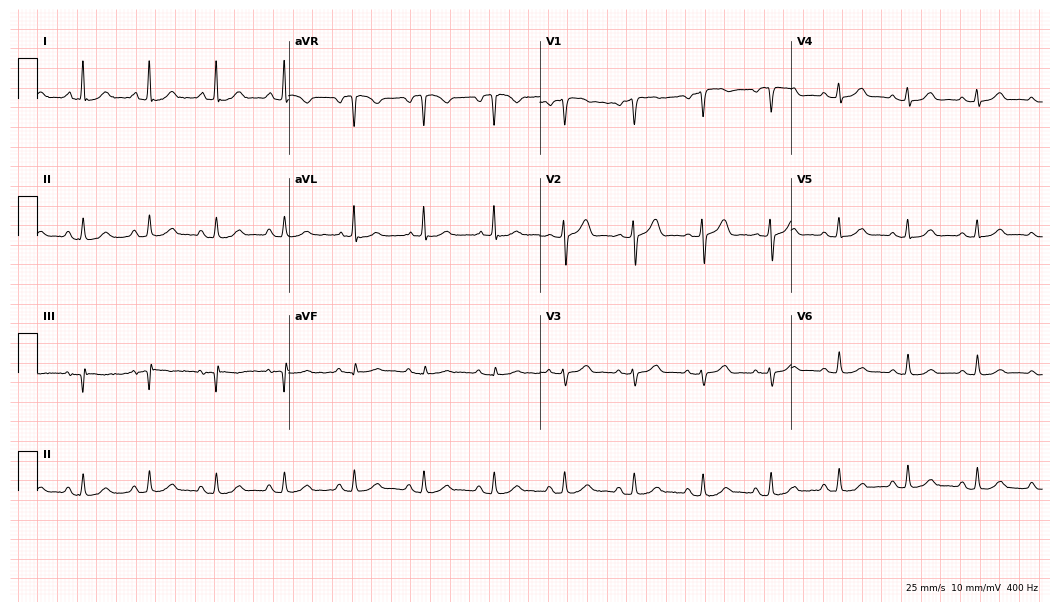
Electrocardiogram, a woman, 57 years old. Of the six screened findings (first-degree AV block, right bundle branch block (RBBB), left bundle branch block (LBBB), sinus bradycardia, atrial fibrillation (AF), sinus tachycardia), none is recorded.